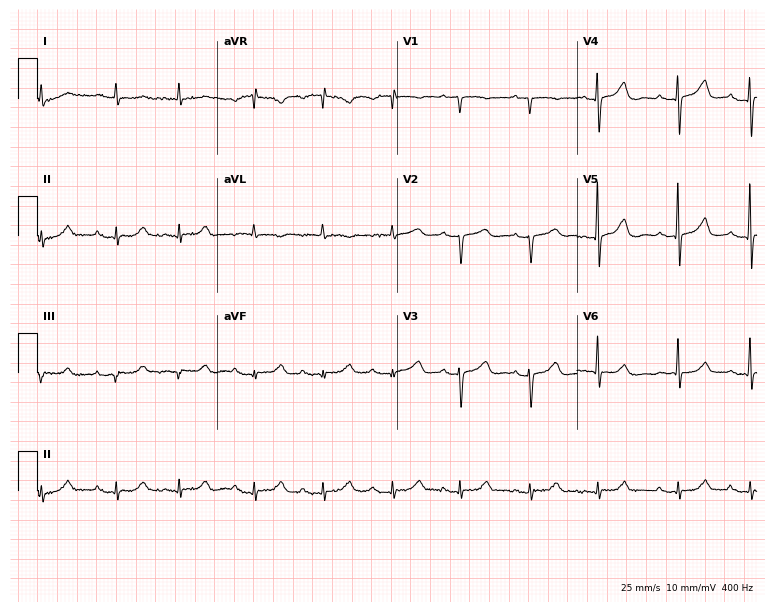
Resting 12-lead electrocardiogram. Patient: an 83-year-old woman. None of these six findings is recorded: first-degree AV block, right bundle branch block, left bundle branch block, sinus bradycardia, atrial fibrillation, sinus tachycardia. Findings outside these six are not listed.